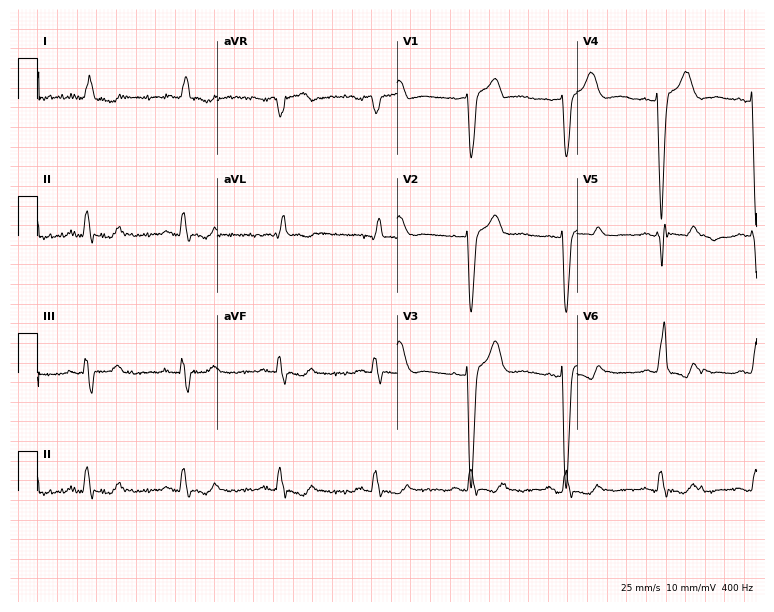
12-lead ECG from a man, 76 years old. Findings include left bundle branch block.